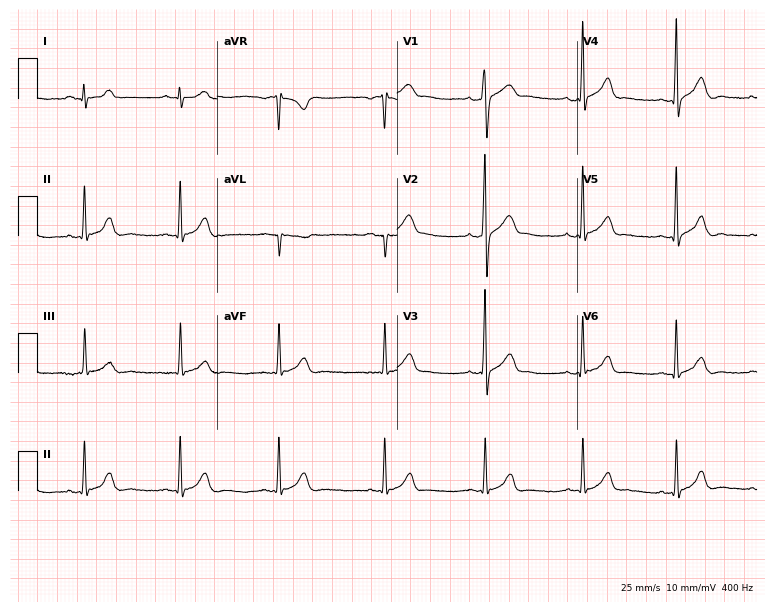
12-lead ECG from a 31-year-old man. Recorded interpretation: within normal limits.